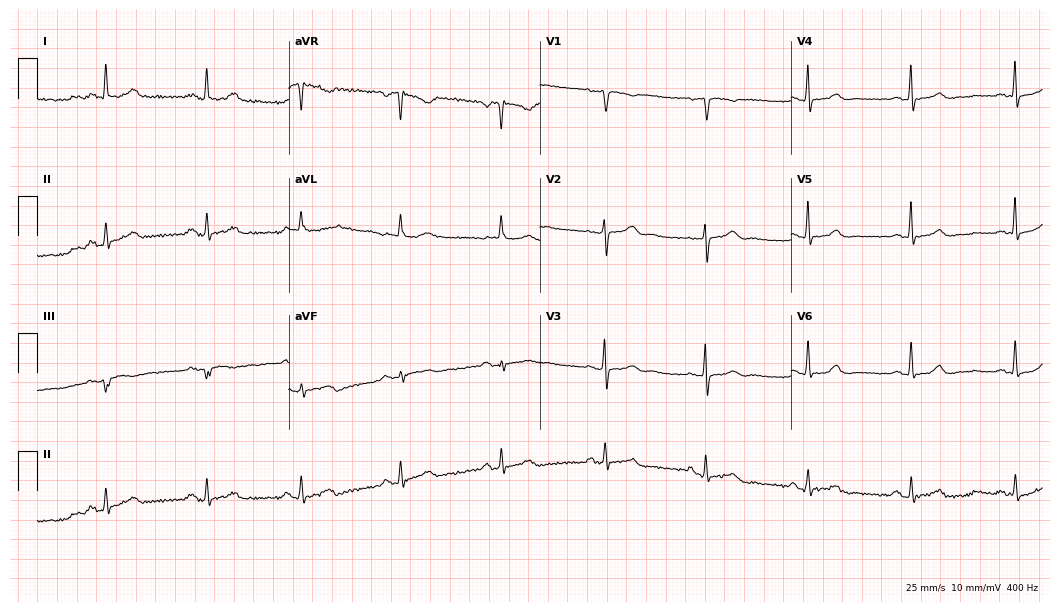
Resting 12-lead electrocardiogram. Patient: an 81-year-old female. Read as a normal ECG.